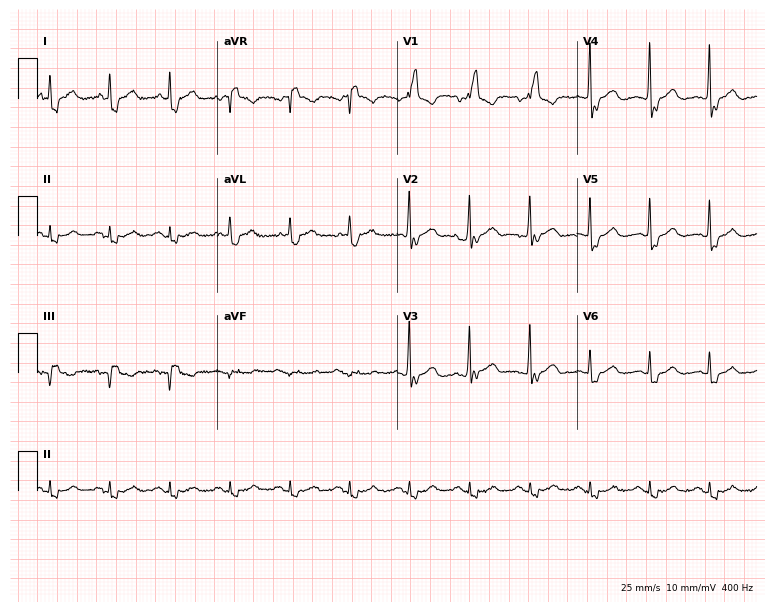
ECG (7.3-second recording at 400 Hz) — a 79-year-old male. Findings include right bundle branch block.